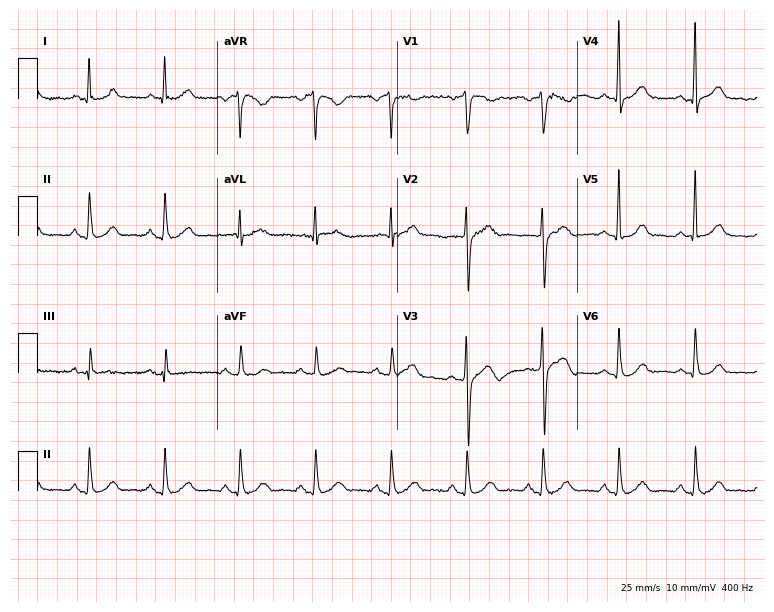
12-lead ECG (7.3-second recording at 400 Hz) from a 45-year-old man. Labelled as a normal ECG.